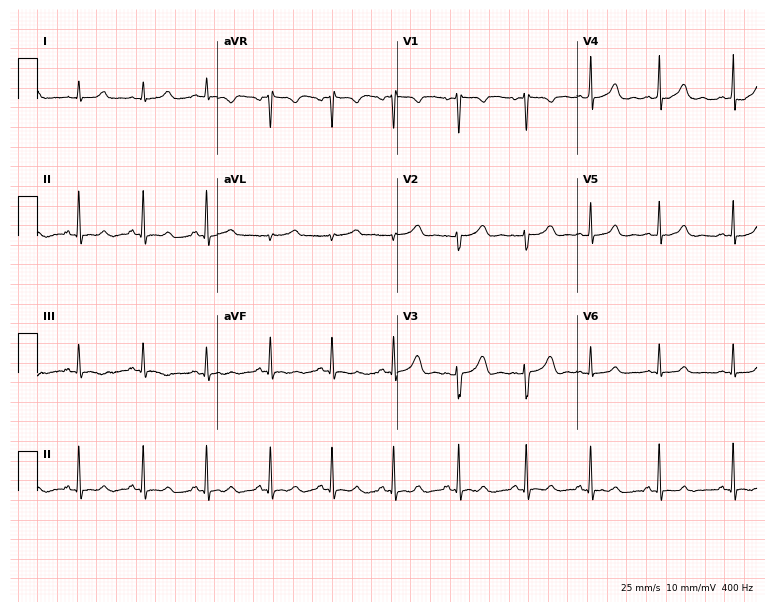
Electrocardiogram, a woman, 24 years old. Overall reading on record: normal ECG.